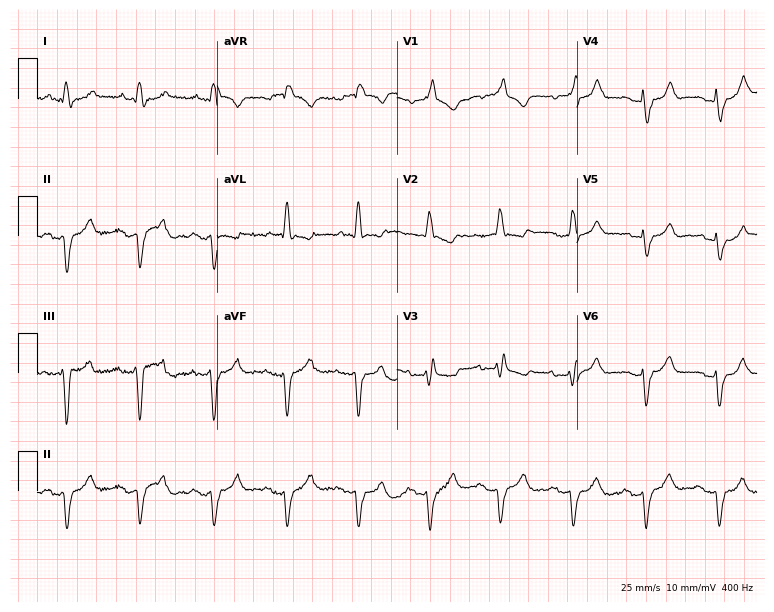
ECG — a 75-year-old female patient. Findings include right bundle branch block (RBBB).